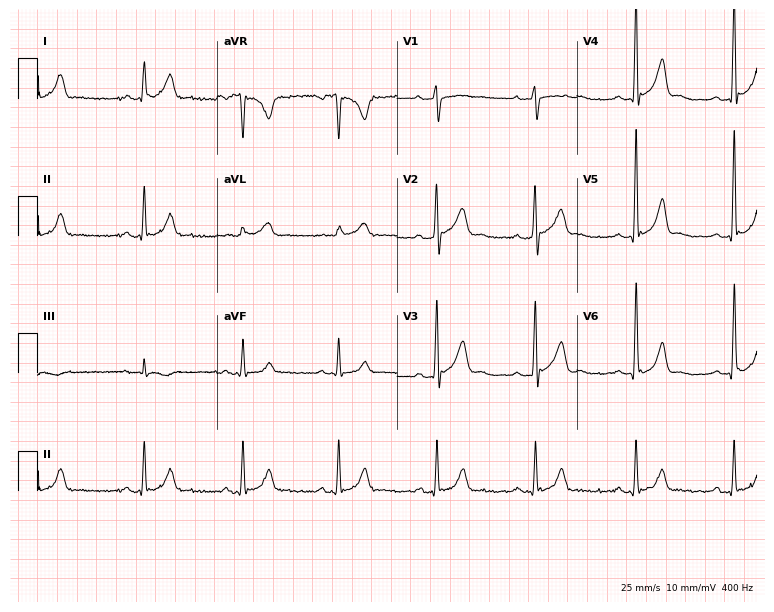
12-lead ECG from a man, 28 years old. Recorded interpretation: within normal limits.